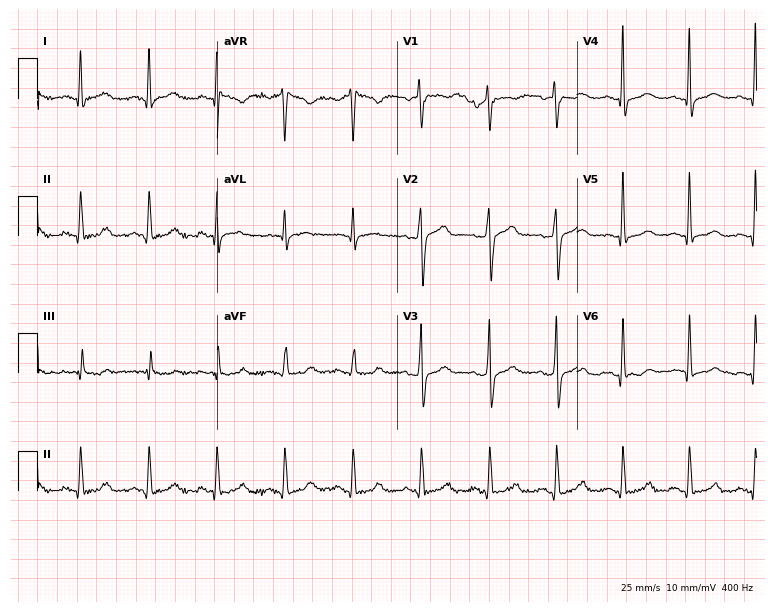
Standard 12-lead ECG recorded from a 37-year-old male (7.3-second recording at 400 Hz). Read as a normal ECG.